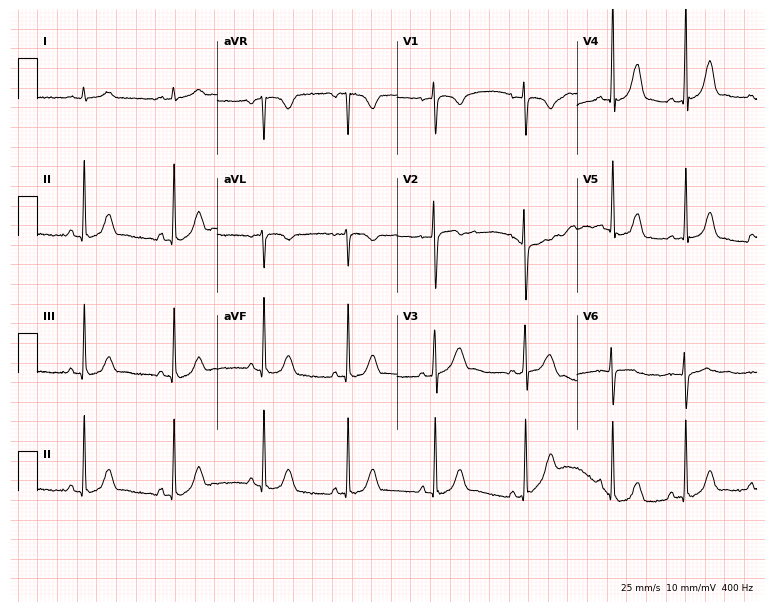
Standard 12-lead ECG recorded from a woman, 18 years old (7.3-second recording at 400 Hz). Read as a normal ECG.